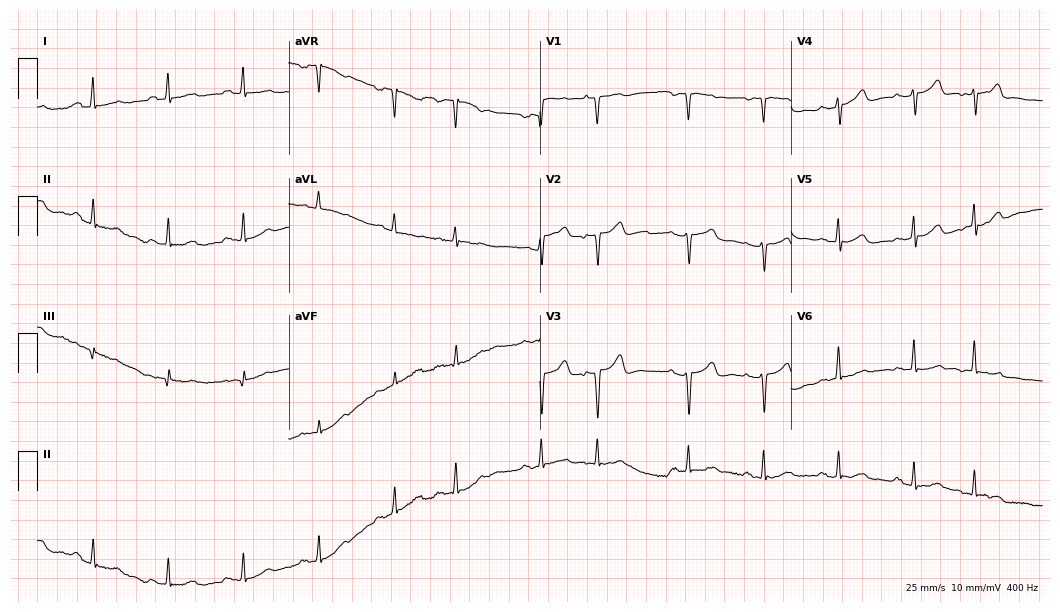
12-lead ECG from a 61-year-old female. Recorded interpretation: within normal limits.